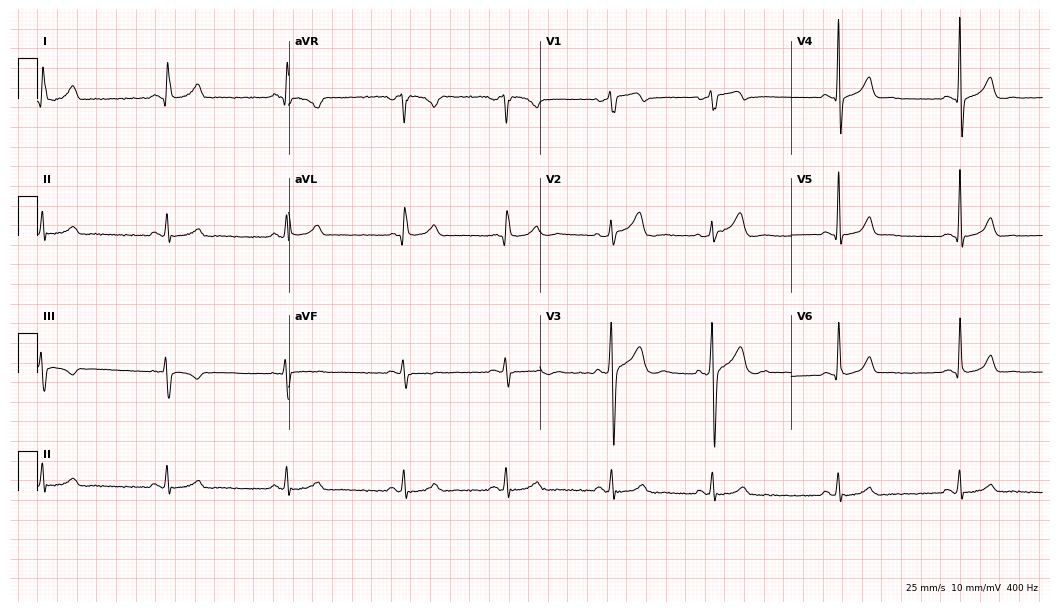
12-lead ECG from a male patient, 35 years old. No first-degree AV block, right bundle branch block (RBBB), left bundle branch block (LBBB), sinus bradycardia, atrial fibrillation (AF) or sinus tachycardia recorded for this tracing. Other findings, if any, are not listed.